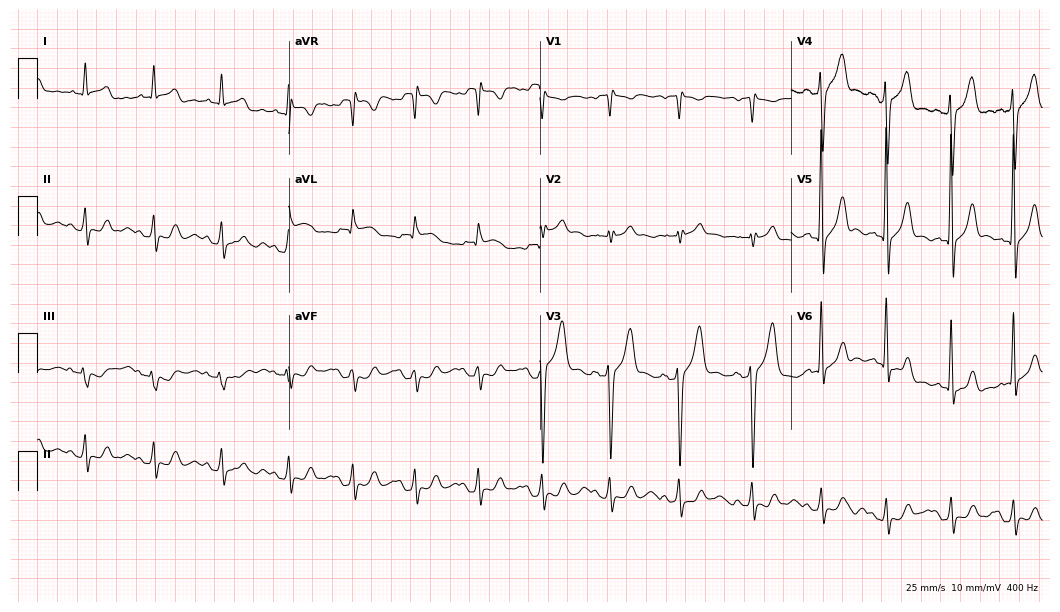
12-lead ECG from a male patient, 46 years old (10.2-second recording at 400 Hz). No first-degree AV block, right bundle branch block, left bundle branch block, sinus bradycardia, atrial fibrillation or sinus tachycardia recorded for this tracing.